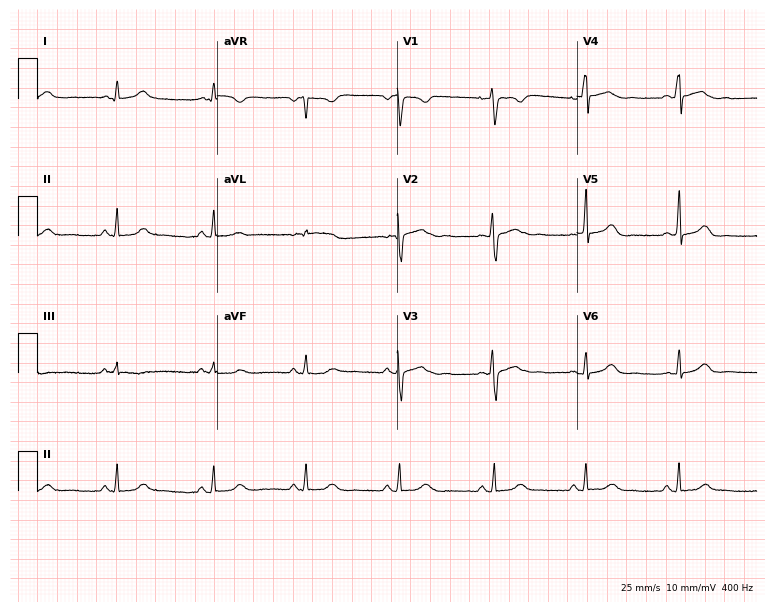
Resting 12-lead electrocardiogram (7.3-second recording at 400 Hz). Patient: a 36-year-old woman. Read as a normal ECG.